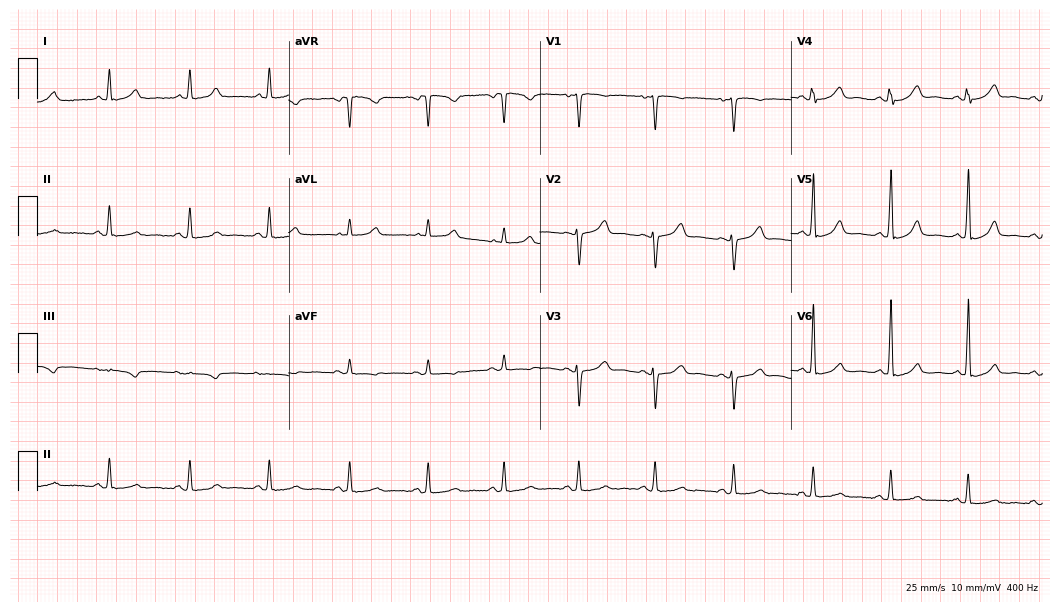
ECG (10.2-second recording at 400 Hz) — a 45-year-old female. Screened for six findings — first-degree AV block, right bundle branch block, left bundle branch block, sinus bradycardia, atrial fibrillation, sinus tachycardia — none is recorded.